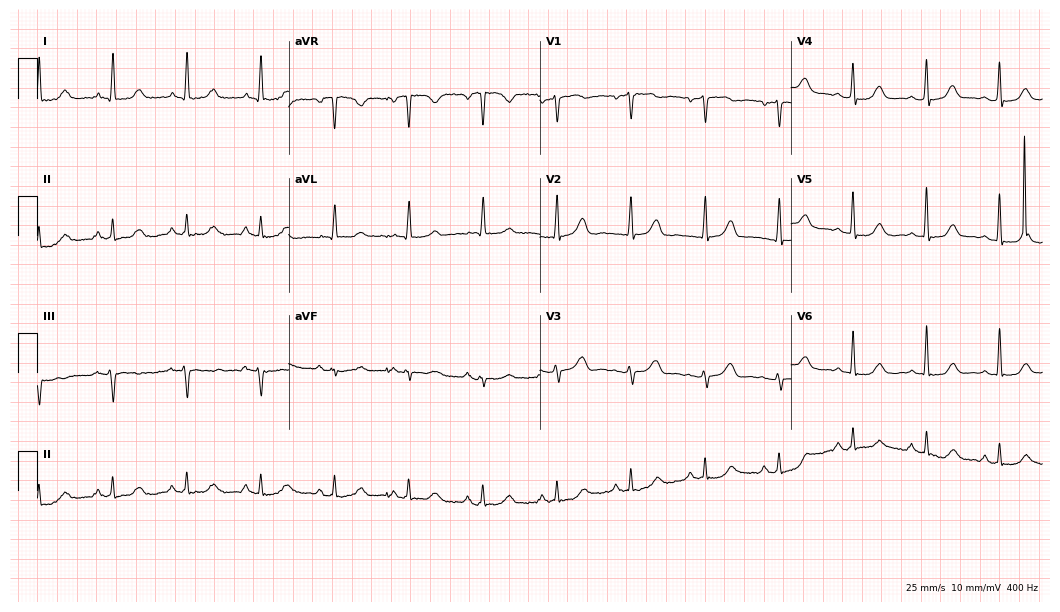
12-lead ECG from a female patient, 83 years old (10.2-second recording at 400 Hz). No first-degree AV block, right bundle branch block, left bundle branch block, sinus bradycardia, atrial fibrillation or sinus tachycardia recorded for this tracing.